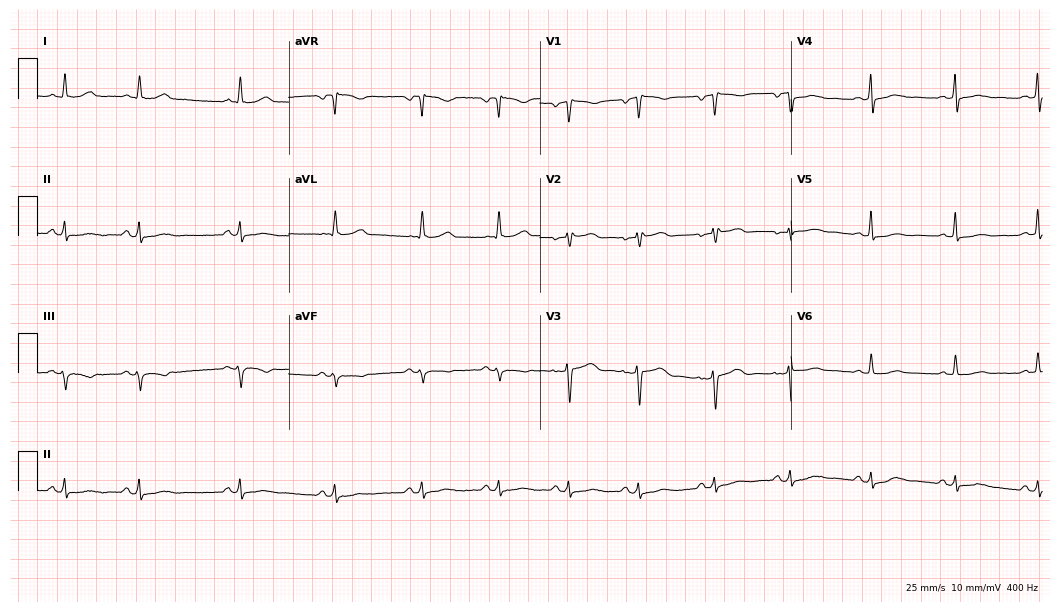
Electrocardiogram, a female, 50 years old. Overall reading on record: normal ECG.